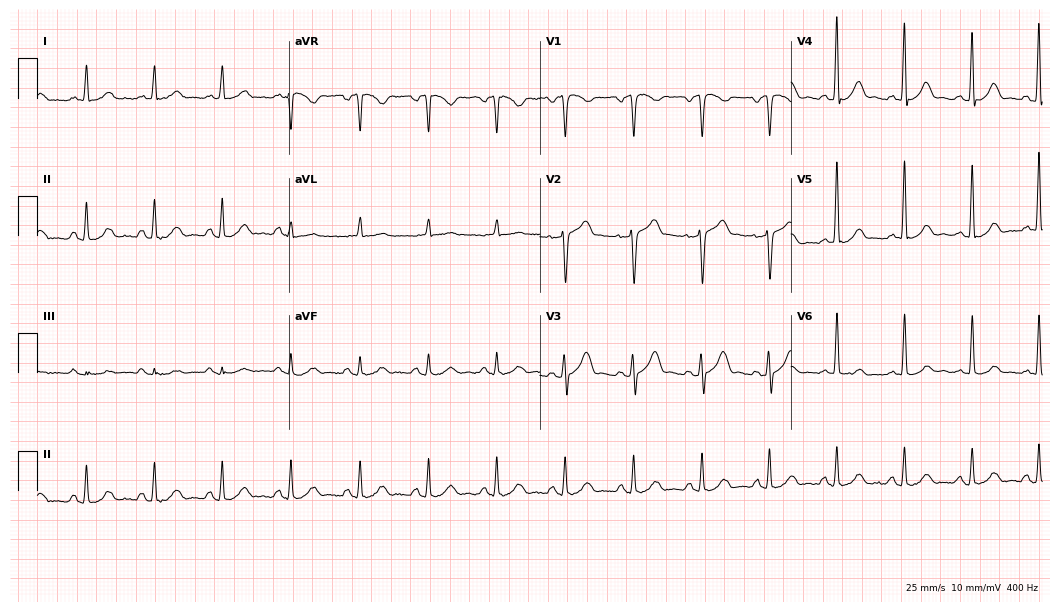
Standard 12-lead ECG recorded from an 84-year-old male. Read as a normal ECG.